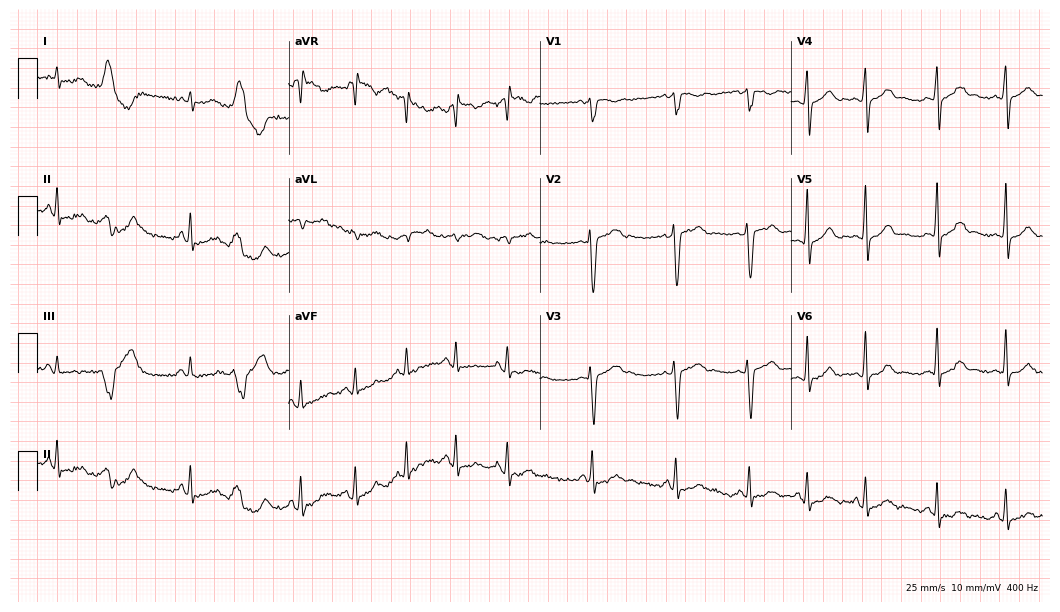
Resting 12-lead electrocardiogram (10.2-second recording at 400 Hz). Patient: a 22-year-old woman. None of these six findings is recorded: first-degree AV block, right bundle branch block, left bundle branch block, sinus bradycardia, atrial fibrillation, sinus tachycardia. Other findings, if any, are not listed.